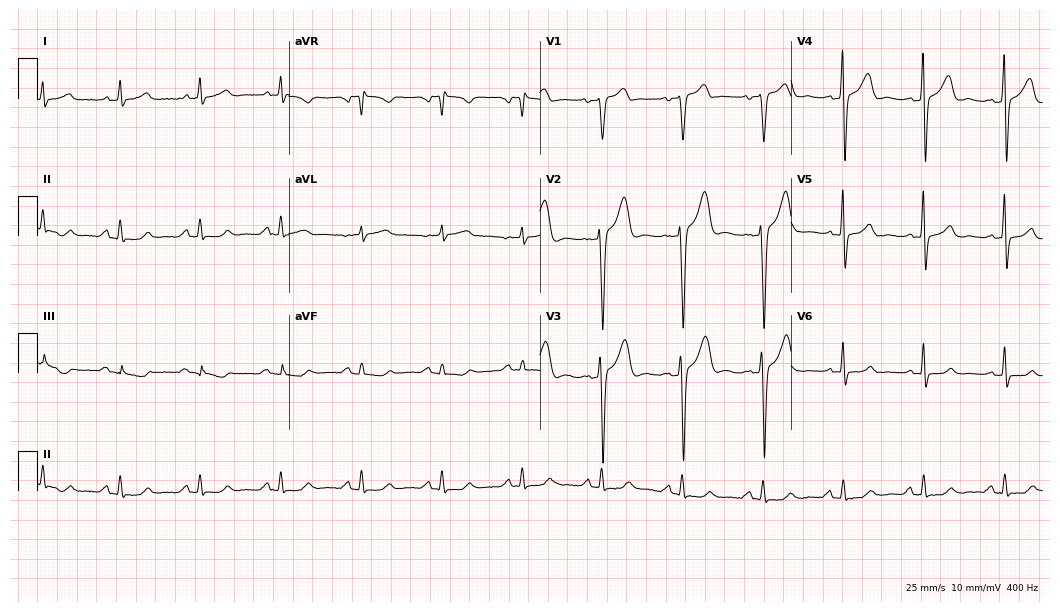
Resting 12-lead electrocardiogram. Patient: a male, 65 years old. None of these six findings is recorded: first-degree AV block, right bundle branch block, left bundle branch block, sinus bradycardia, atrial fibrillation, sinus tachycardia. Only these six findings were labelled.